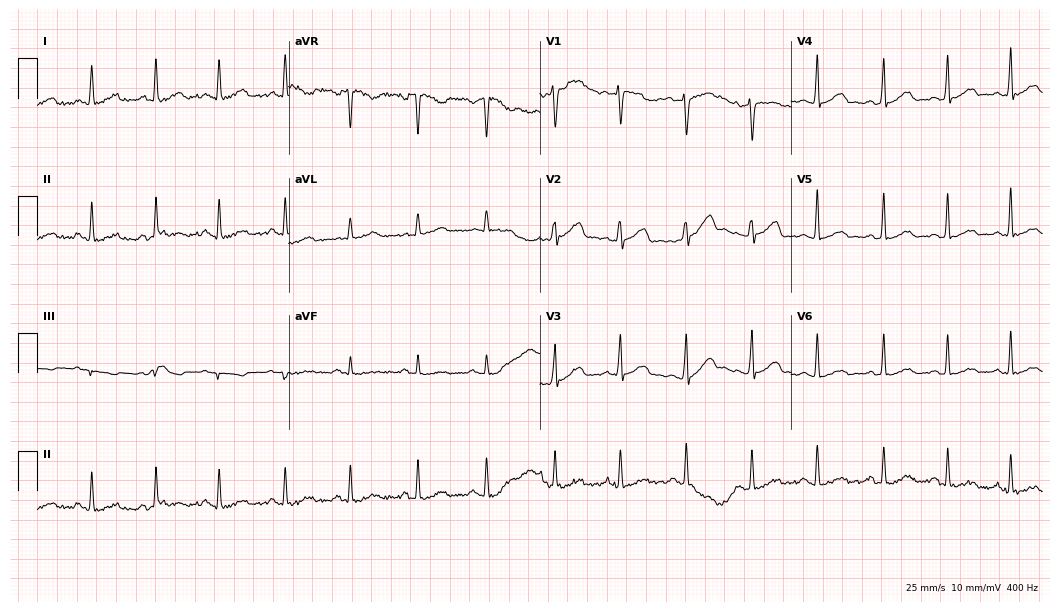
Resting 12-lead electrocardiogram. Patient: a 35-year-old female. None of these six findings is recorded: first-degree AV block, right bundle branch block, left bundle branch block, sinus bradycardia, atrial fibrillation, sinus tachycardia.